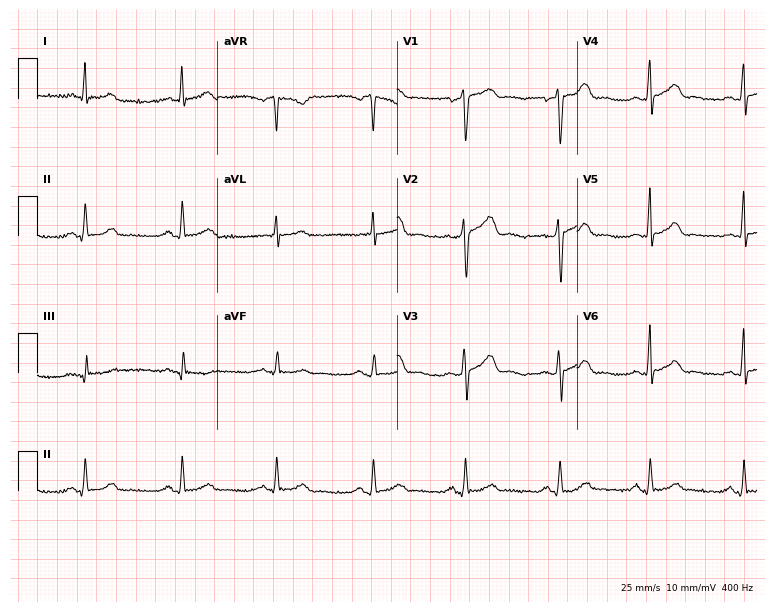
Electrocardiogram (7.3-second recording at 400 Hz), a 49-year-old man. Overall reading on record: normal ECG.